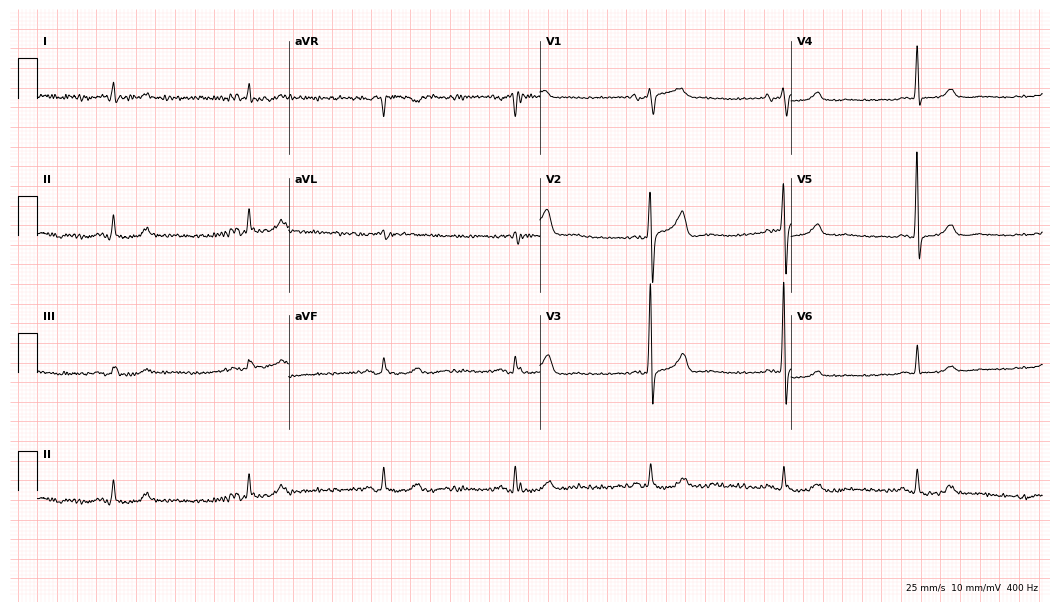
Standard 12-lead ECG recorded from a male patient, 75 years old (10.2-second recording at 400 Hz). None of these six findings is recorded: first-degree AV block, right bundle branch block (RBBB), left bundle branch block (LBBB), sinus bradycardia, atrial fibrillation (AF), sinus tachycardia. Only these six findings were labelled.